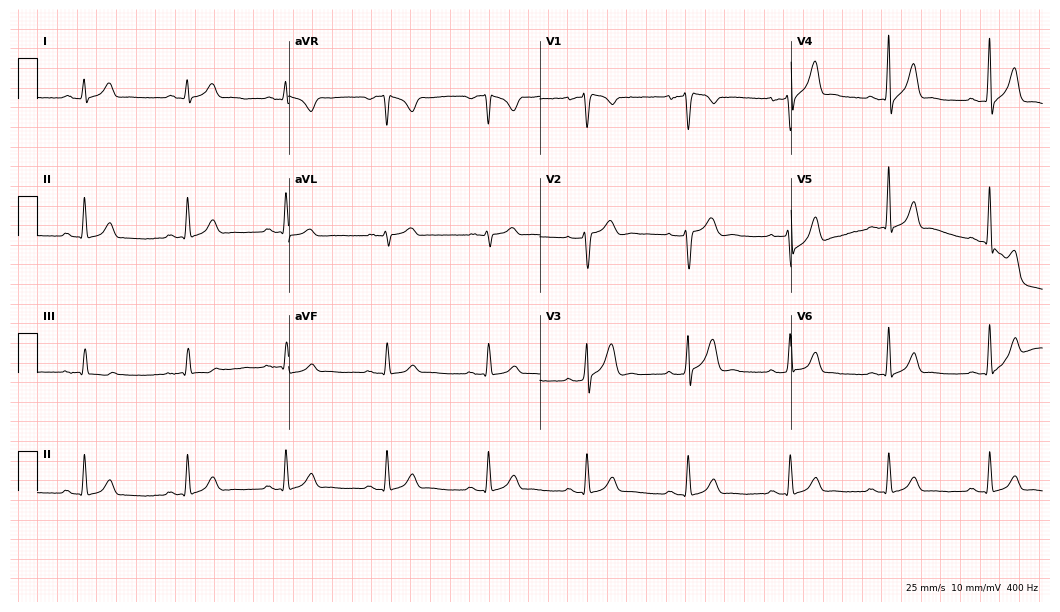
12-lead ECG from a male patient, 43 years old (10.2-second recording at 400 Hz). Recorded interpretation: within normal limits.